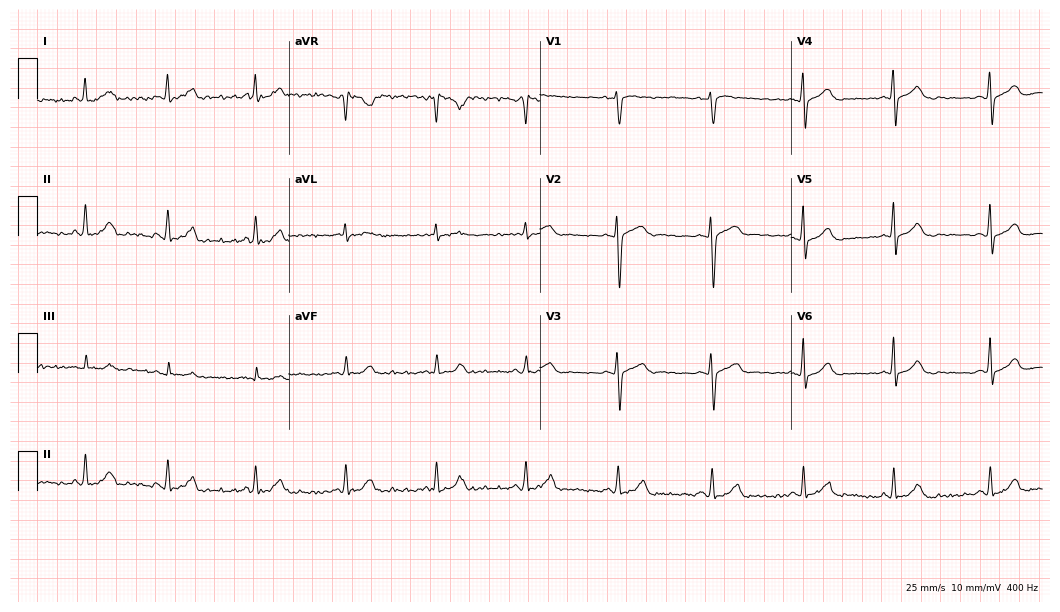
ECG (10.2-second recording at 400 Hz) — a female, 51 years old. Labelled as a normal ECG.